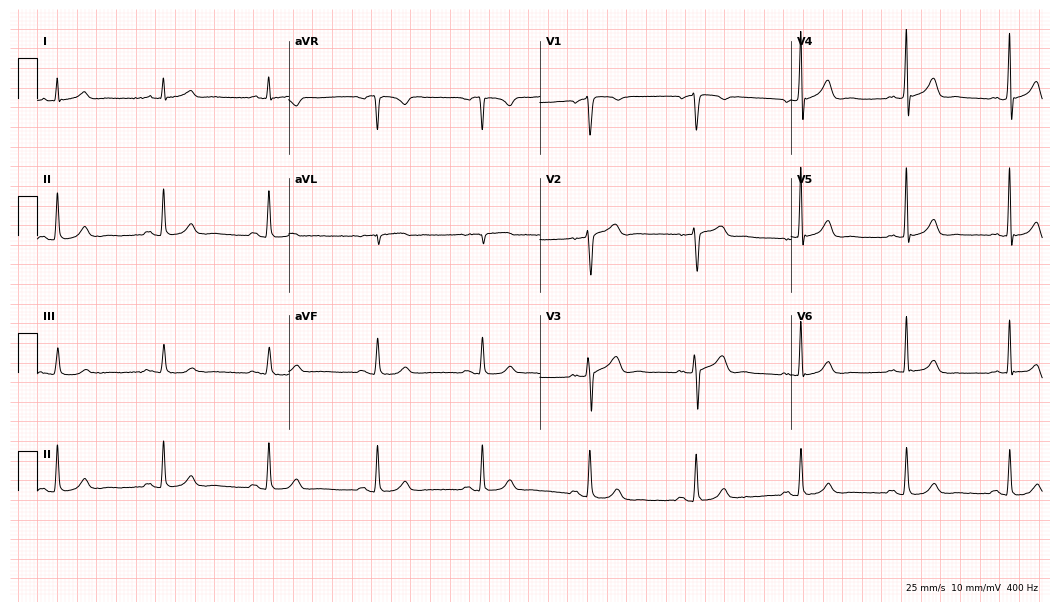
Electrocardiogram, a 68-year-old man. Overall reading on record: normal ECG.